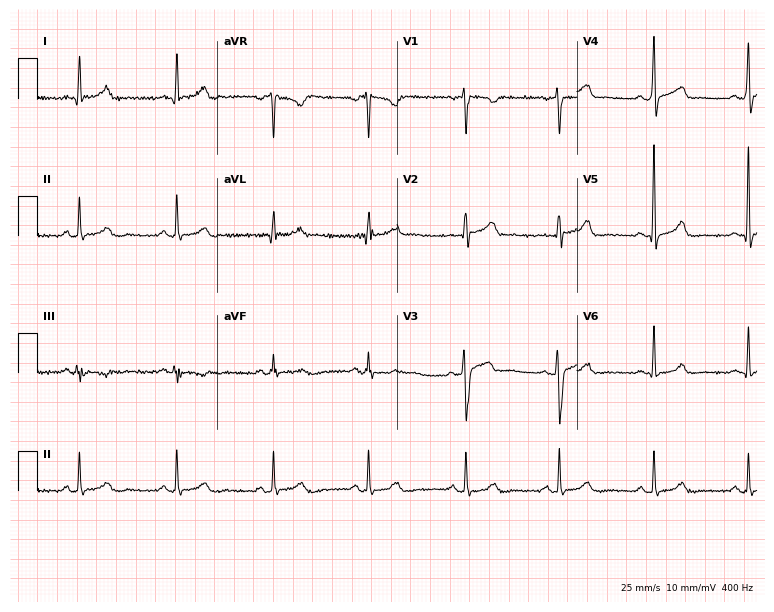
Electrocardiogram, a female patient, 39 years old. Overall reading on record: normal ECG.